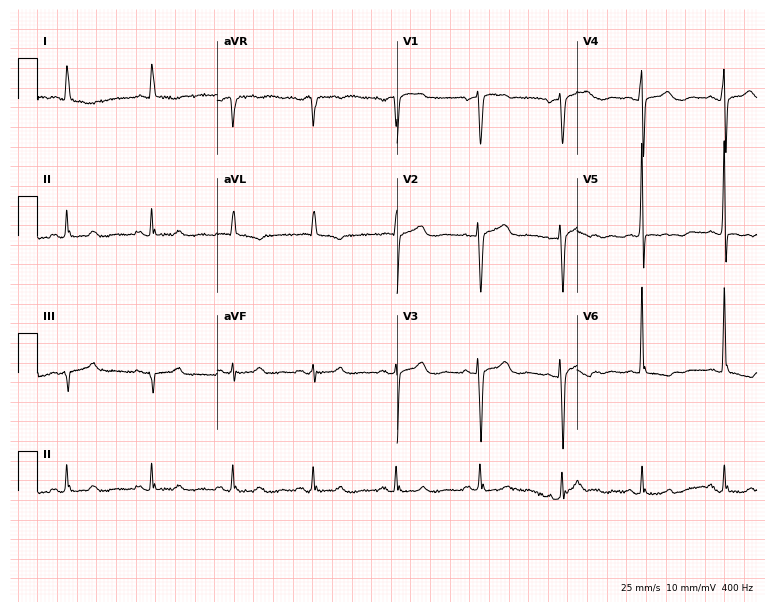
ECG (7.3-second recording at 400 Hz) — a woman, 79 years old. Screened for six findings — first-degree AV block, right bundle branch block (RBBB), left bundle branch block (LBBB), sinus bradycardia, atrial fibrillation (AF), sinus tachycardia — none is recorded.